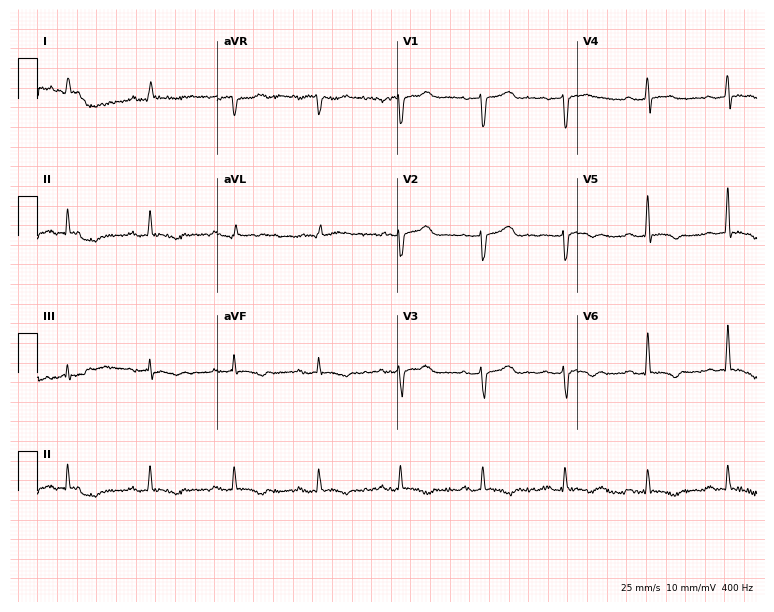
Resting 12-lead electrocardiogram. Patient: a female, 51 years old. None of these six findings is recorded: first-degree AV block, right bundle branch block, left bundle branch block, sinus bradycardia, atrial fibrillation, sinus tachycardia. Findings outside these six are not listed.